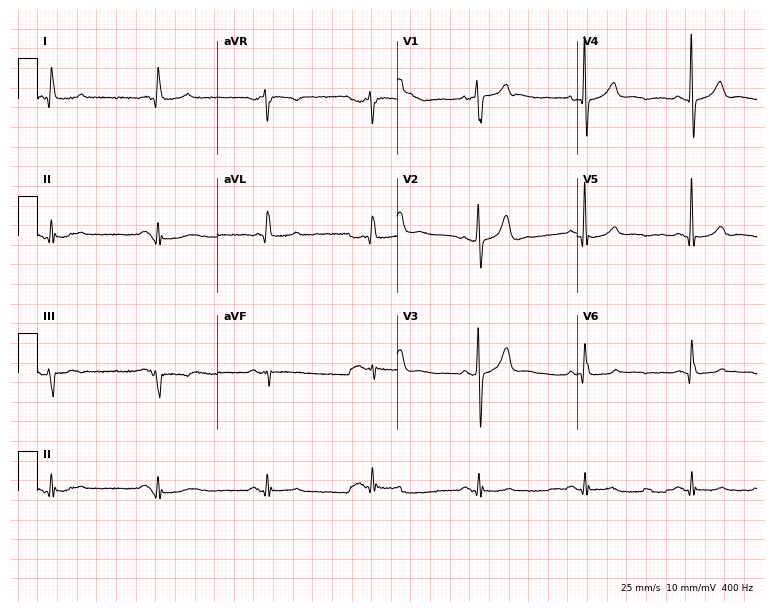
12-lead ECG from a 61-year-old man. Recorded interpretation: within normal limits.